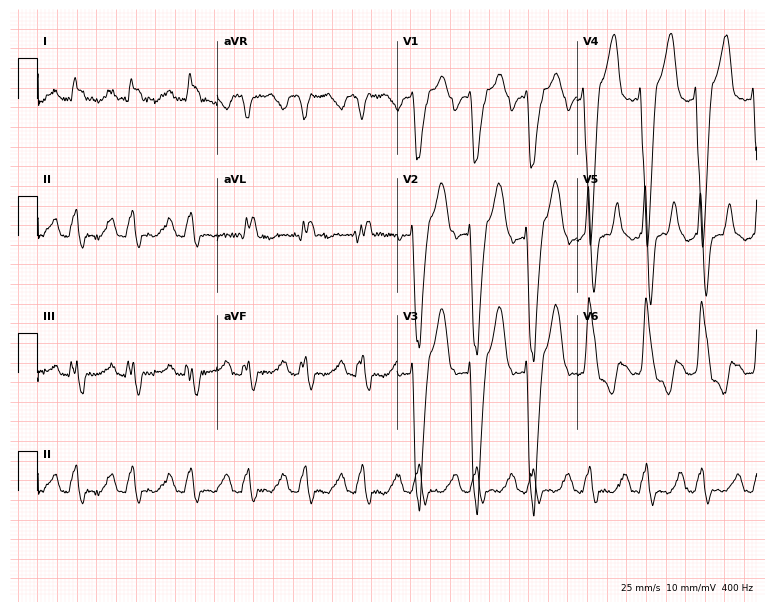
Standard 12-lead ECG recorded from a 51-year-old man. None of these six findings is recorded: first-degree AV block, right bundle branch block (RBBB), left bundle branch block (LBBB), sinus bradycardia, atrial fibrillation (AF), sinus tachycardia. Only these six findings were labelled.